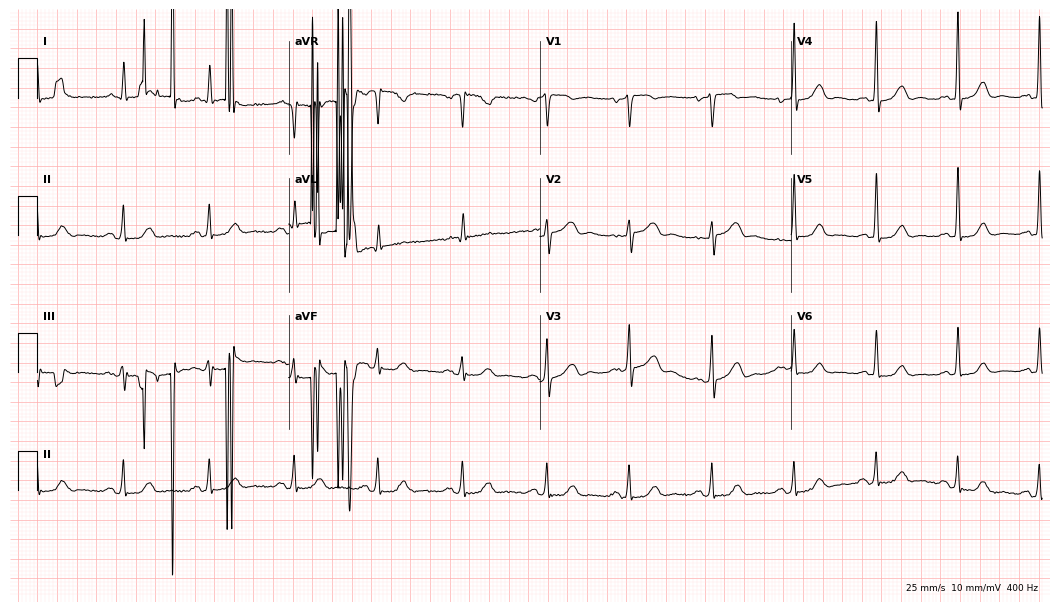
12-lead ECG from a 74-year-old man (10.2-second recording at 400 Hz). No first-degree AV block, right bundle branch block (RBBB), left bundle branch block (LBBB), sinus bradycardia, atrial fibrillation (AF) or sinus tachycardia recorded for this tracing. Other findings, if any, are not listed.